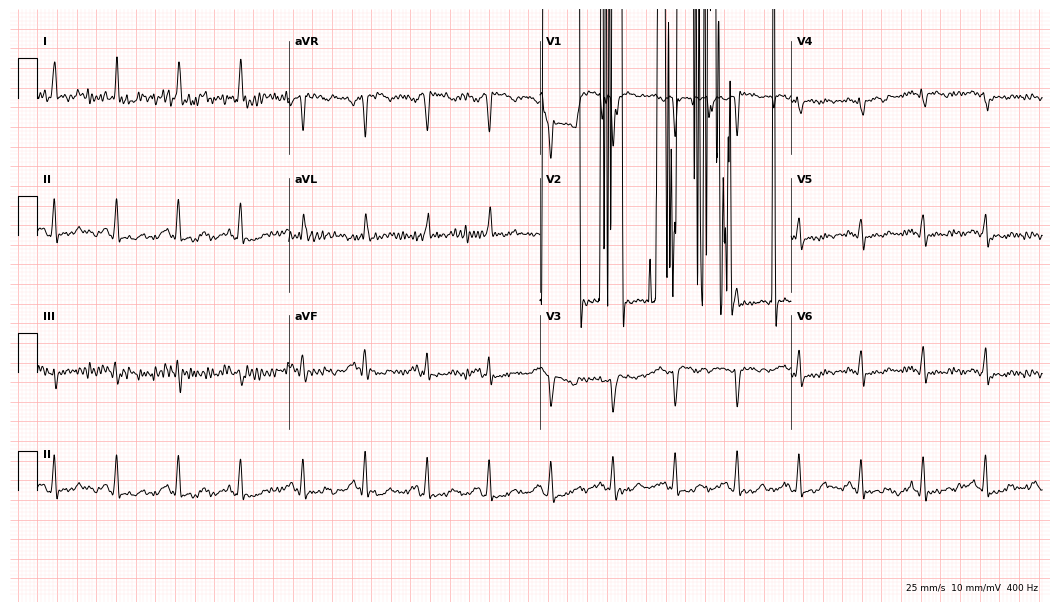
12-lead ECG from a female, 61 years old. No first-degree AV block, right bundle branch block, left bundle branch block, sinus bradycardia, atrial fibrillation or sinus tachycardia recorded for this tracing.